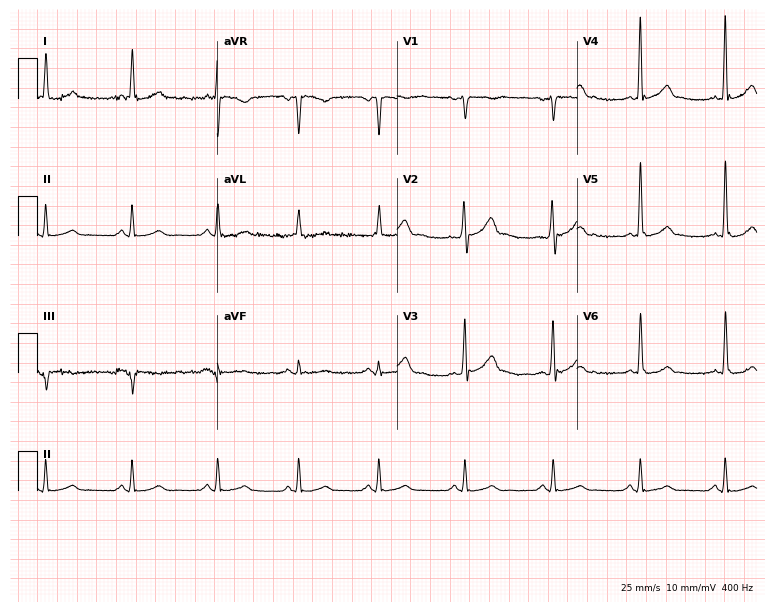
Resting 12-lead electrocardiogram. Patient: a male, 36 years old. Read as a normal ECG.